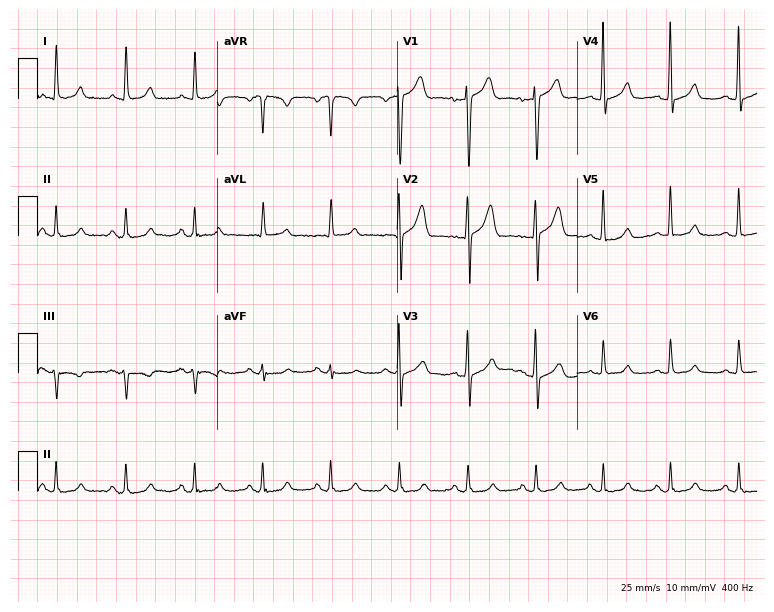
Standard 12-lead ECG recorded from a 55-year-old male (7.3-second recording at 400 Hz). None of these six findings is recorded: first-degree AV block, right bundle branch block, left bundle branch block, sinus bradycardia, atrial fibrillation, sinus tachycardia. Findings outside these six are not listed.